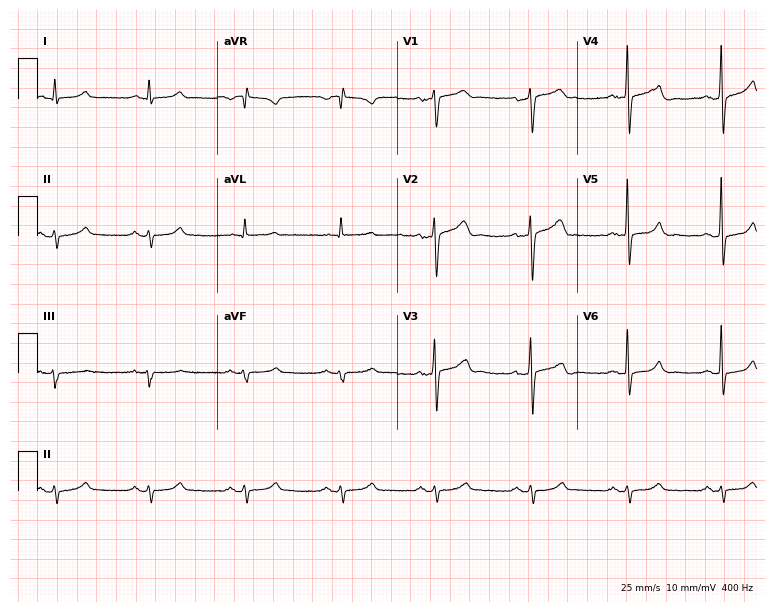
12-lead ECG from a male, 68 years old (7.3-second recording at 400 Hz). No first-degree AV block, right bundle branch block, left bundle branch block, sinus bradycardia, atrial fibrillation or sinus tachycardia recorded for this tracing.